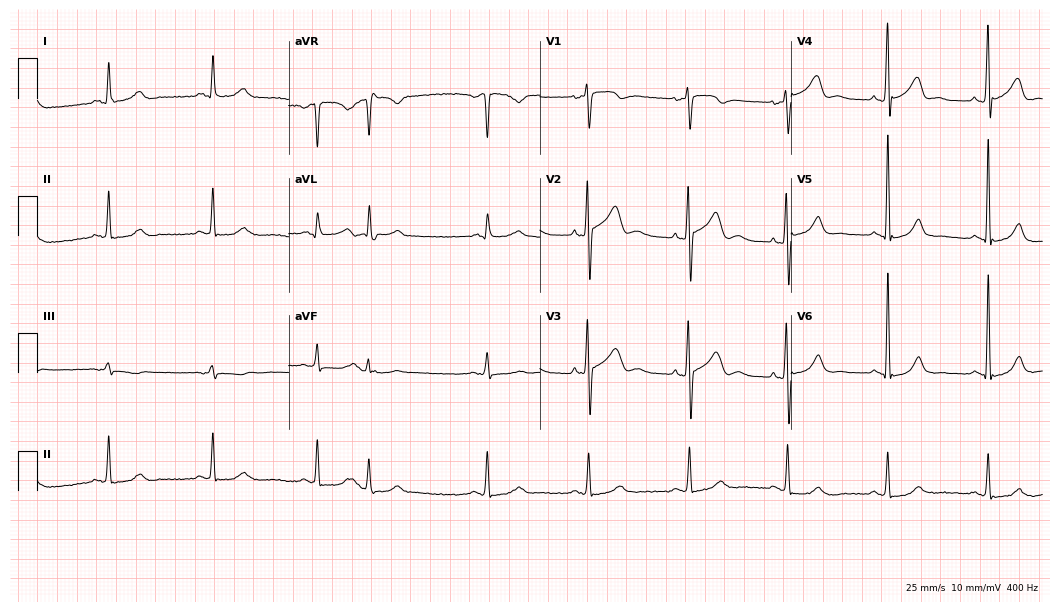
ECG — a 63-year-old male patient. Screened for six findings — first-degree AV block, right bundle branch block, left bundle branch block, sinus bradycardia, atrial fibrillation, sinus tachycardia — none is recorded.